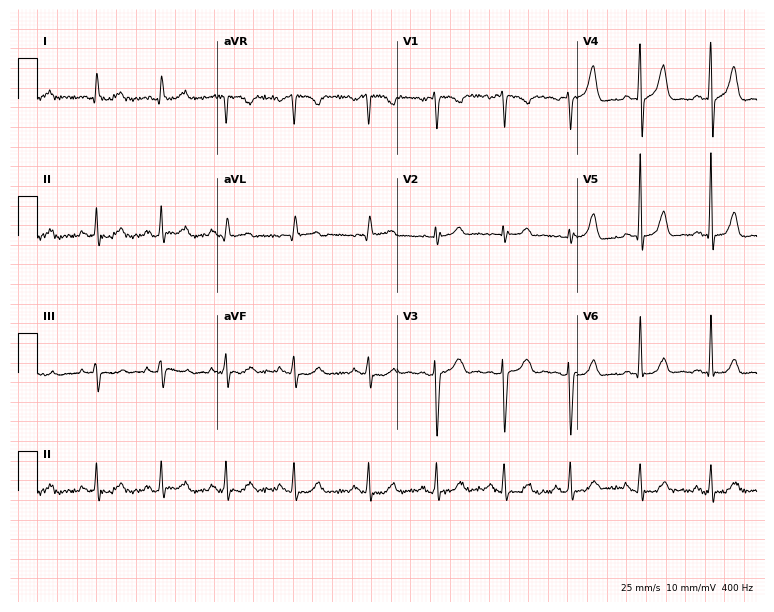
Standard 12-lead ECG recorded from a man, 21 years old (7.3-second recording at 400 Hz). Read as a normal ECG.